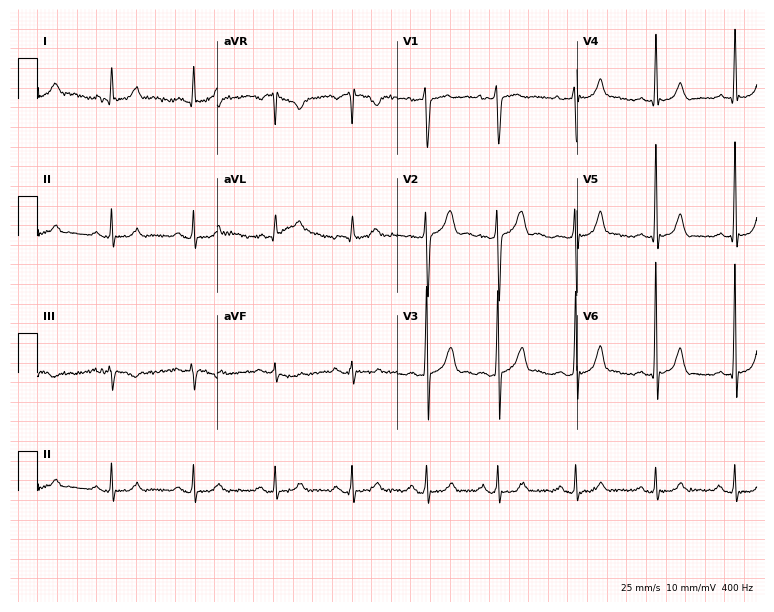
Resting 12-lead electrocardiogram. Patient: a male, 24 years old. Read as a normal ECG.